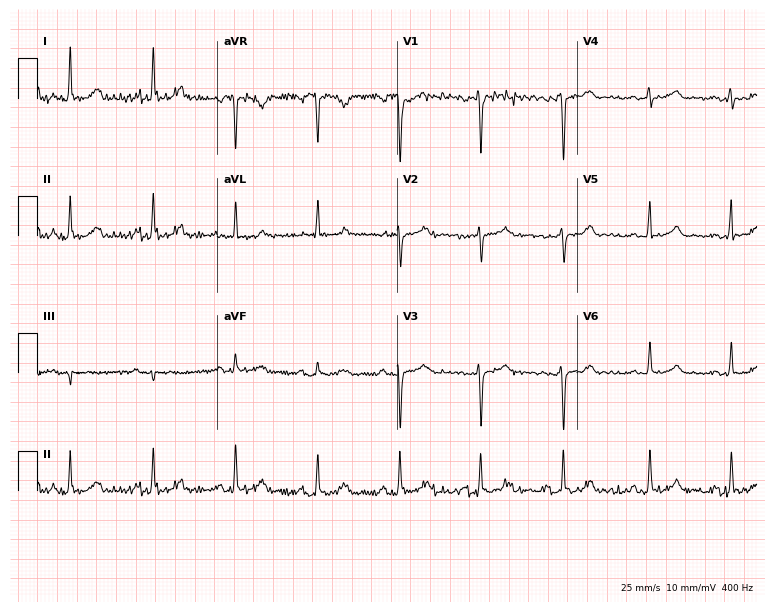
Standard 12-lead ECG recorded from a female patient, 43 years old (7.3-second recording at 400 Hz). None of these six findings is recorded: first-degree AV block, right bundle branch block, left bundle branch block, sinus bradycardia, atrial fibrillation, sinus tachycardia.